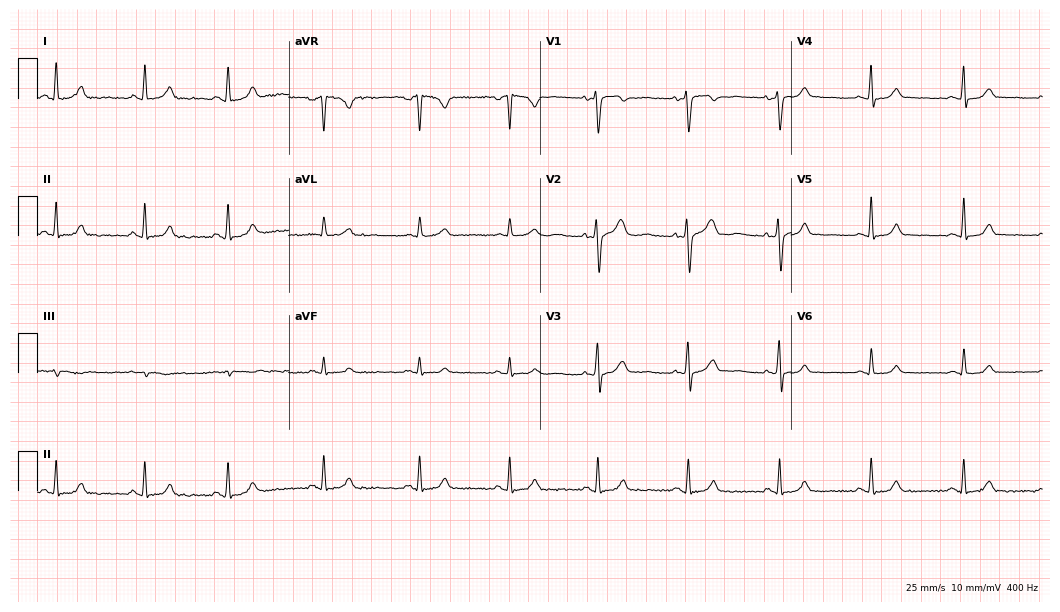
Resting 12-lead electrocardiogram (10.2-second recording at 400 Hz). Patient: a 46-year-old woman. Read as a normal ECG.